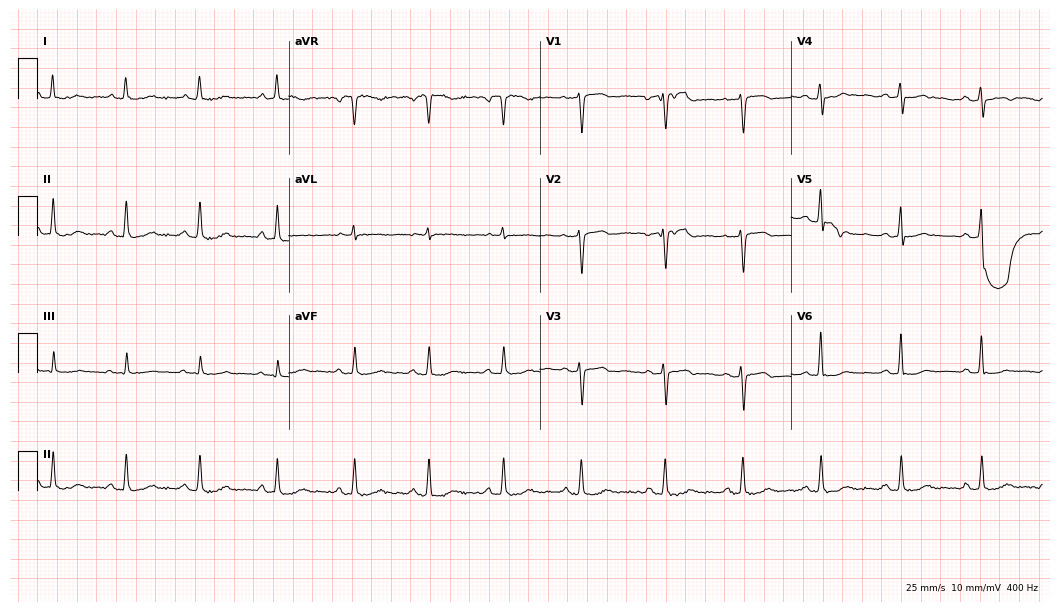
ECG — a woman, 46 years old. Screened for six findings — first-degree AV block, right bundle branch block, left bundle branch block, sinus bradycardia, atrial fibrillation, sinus tachycardia — none is recorded.